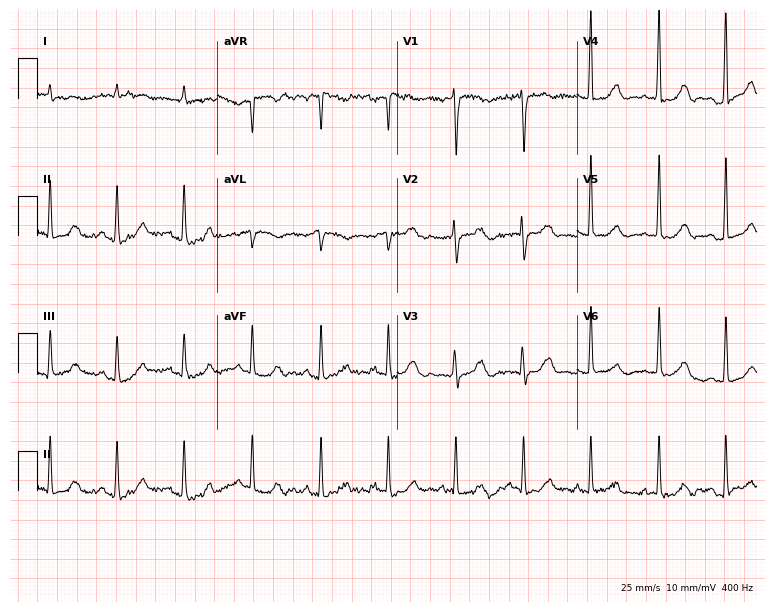
Standard 12-lead ECG recorded from a female, 82 years old (7.3-second recording at 400 Hz). Read as a normal ECG.